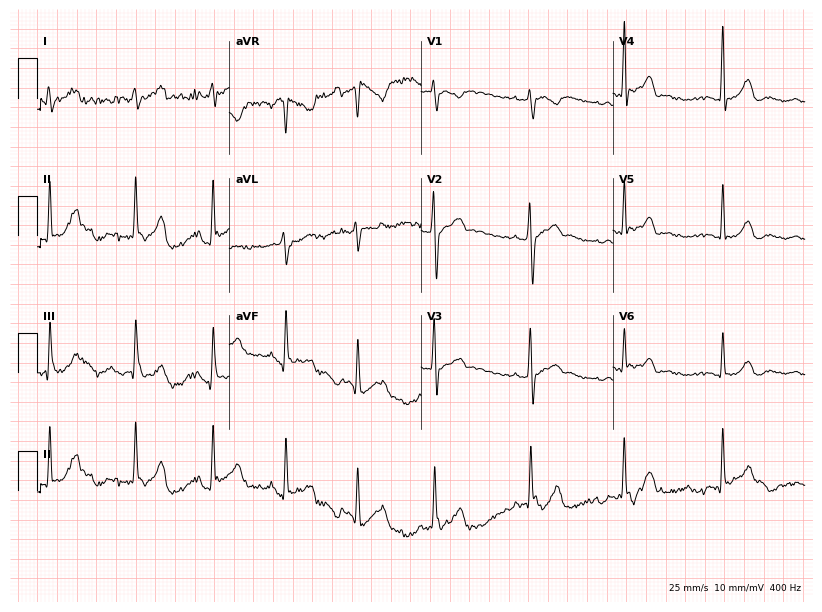
Electrocardiogram (7.8-second recording at 400 Hz), a 19-year-old female. Of the six screened findings (first-degree AV block, right bundle branch block, left bundle branch block, sinus bradycardia, atrial fibrillation, sinus tachycardia), none is recorded.